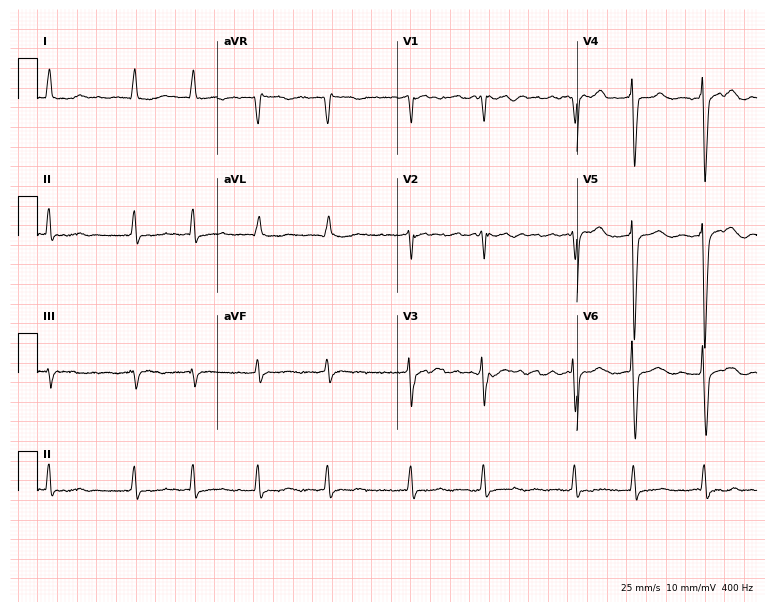
Standard 12-lead ECG recorded from a woman, 80 years old (7.3-second recording at 400 Hz). The tracing shows atrial fibrillation (AF).